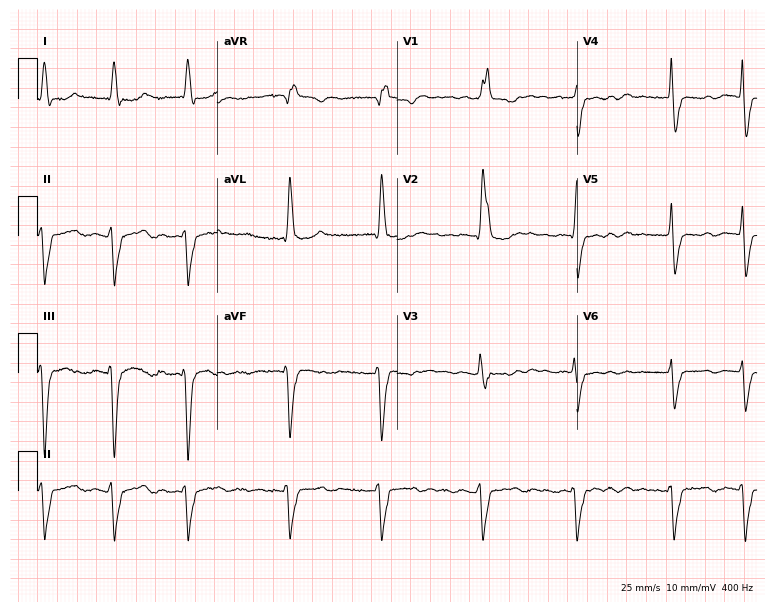
12-lead ECG from a woman, 83 years old. Shows right bundle branch block (RBBB), atrial fibrillation (AF).